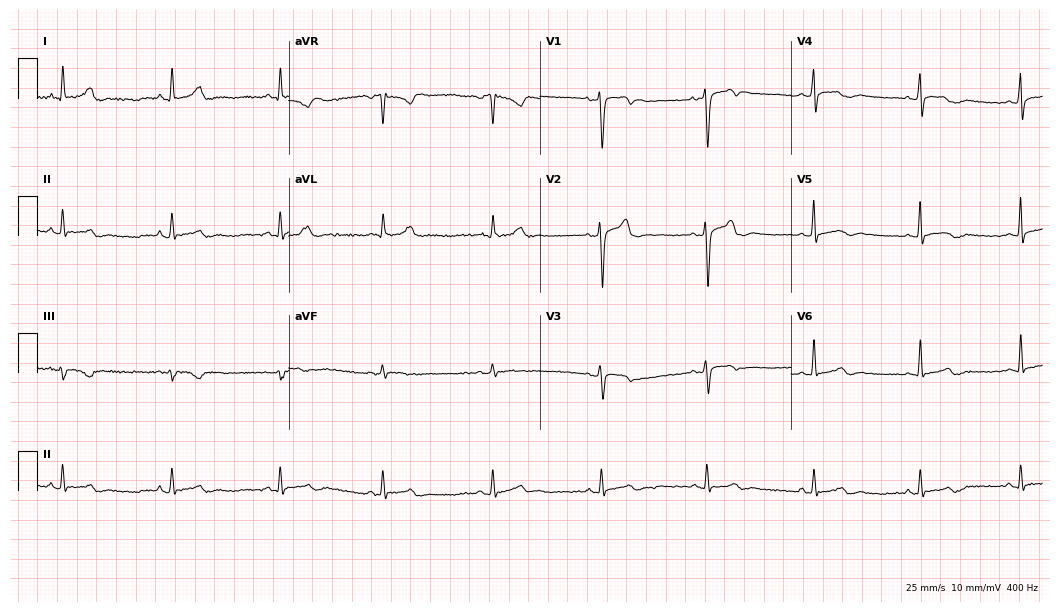
12-lead ECG from a man, 36 years old. Labelled as a normal ECG.